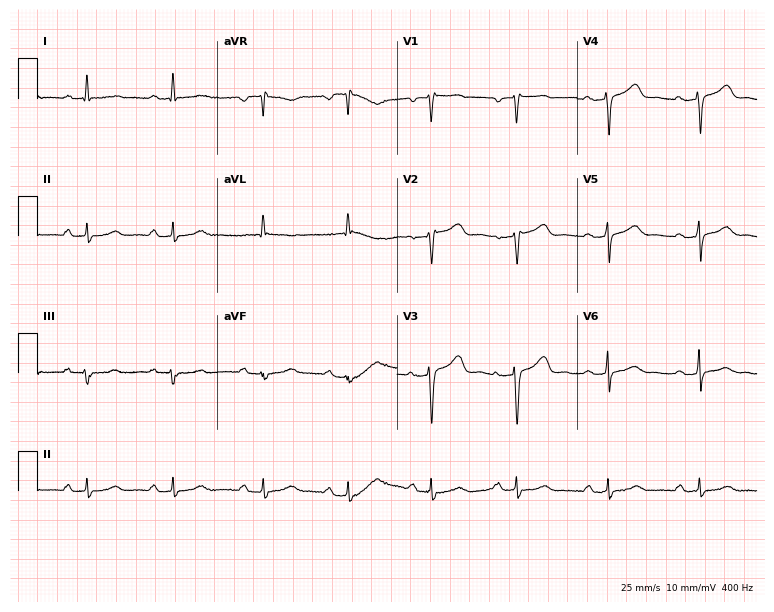
12-lead ECG from a female patient, 46 years old. No first-degree AV block, right bundle branch block, left bundle branch block, sinus bradycardia, atrial fibrillation or sinus tachycardia recorded for this tracing.